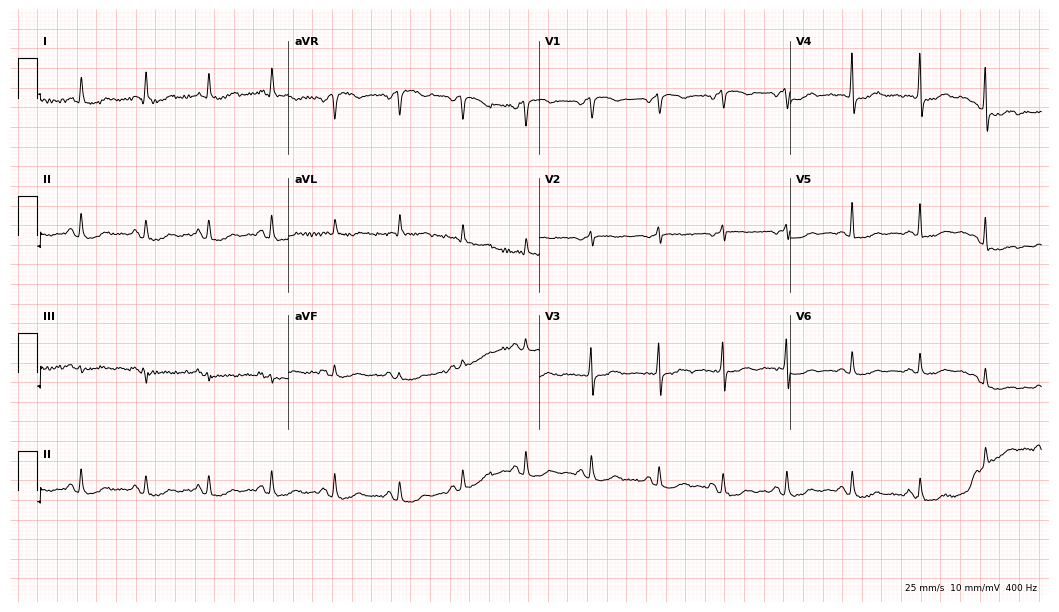
12-lead ECG from a 52-year-old female (10.2-second recording at 400 Hz). No first-degree AV block, right bundle branch block (RBBB), left bundle branch block (LBBB), sinus bradycardia, atrial fibrillation (AF) or sinus tachycardia recorded for this tracing. Findings outside these six are not listed.